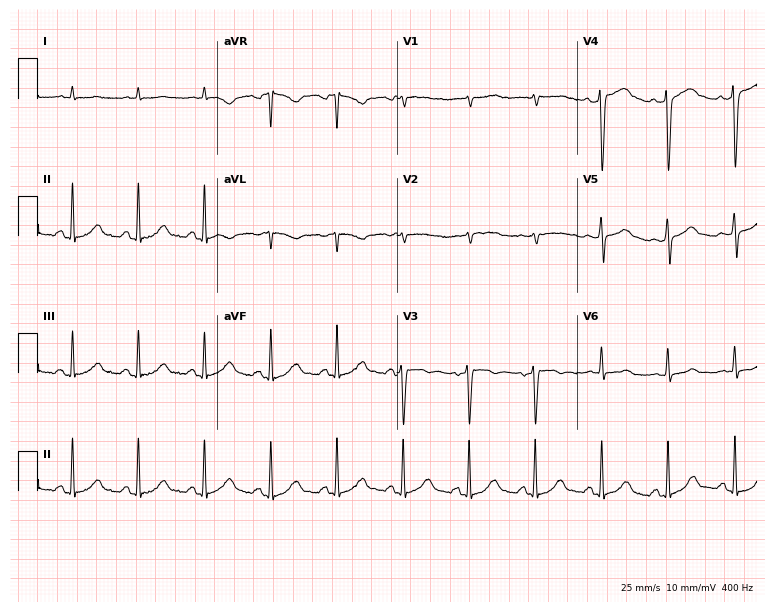
12-lead ECG from a male, 53 years old. Screened for six findings — first-degree AV block, right bundle branch block, left bundle branch block, sinus bradycardia, atrial fibrillation, sinus tachycardia — none is recorded. Only these six findings were labelled.